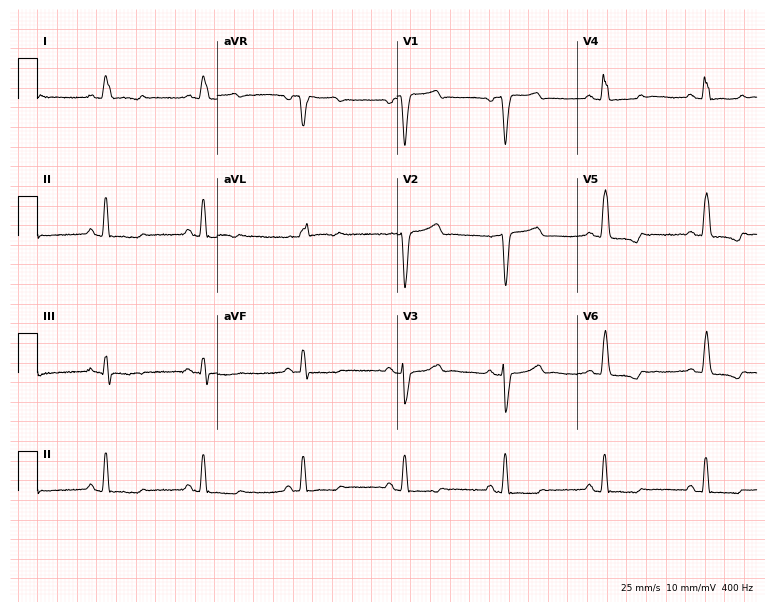
Standard 12-lead ECG recorded from a 74-year-old woman. None of these six findings is recorded: first-degree AV block, right bundle branch block, left bundle branch block, sinus bradycardia, atrial fibrillation, sinus tachycardia. Only these six findings were labelled.